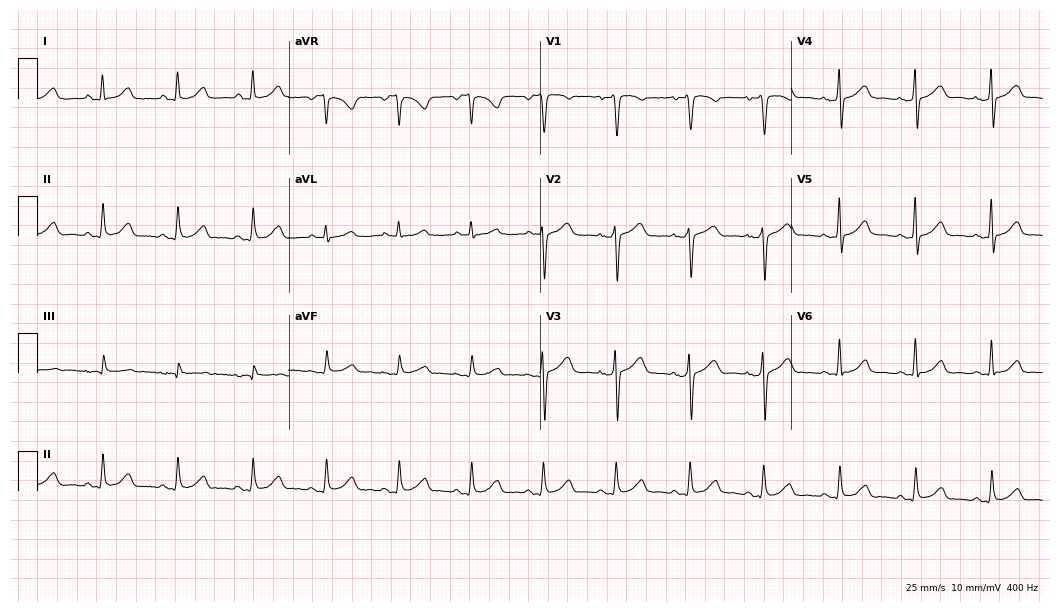
Standard 12-lead ECG recorded from a 56-year-old female patient (10.2-second recording at 400 Hz). Read as a normal ECG.